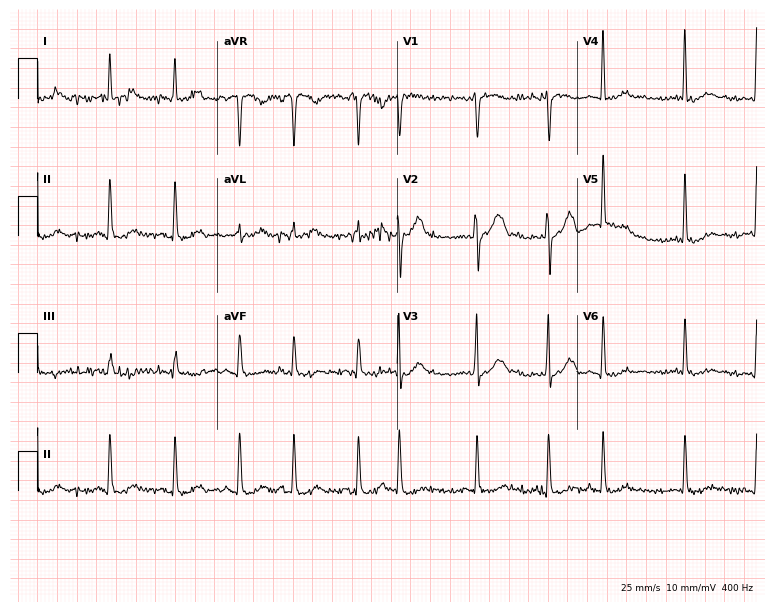
Standard 12-lead ECG recorded from a woman, 84 years old. None of these six findings is recorded: first-degree AV block, right bundle branch block, left bundle branch block, sinus bradycardia, atrial fibrillation, sinus tachycardia.